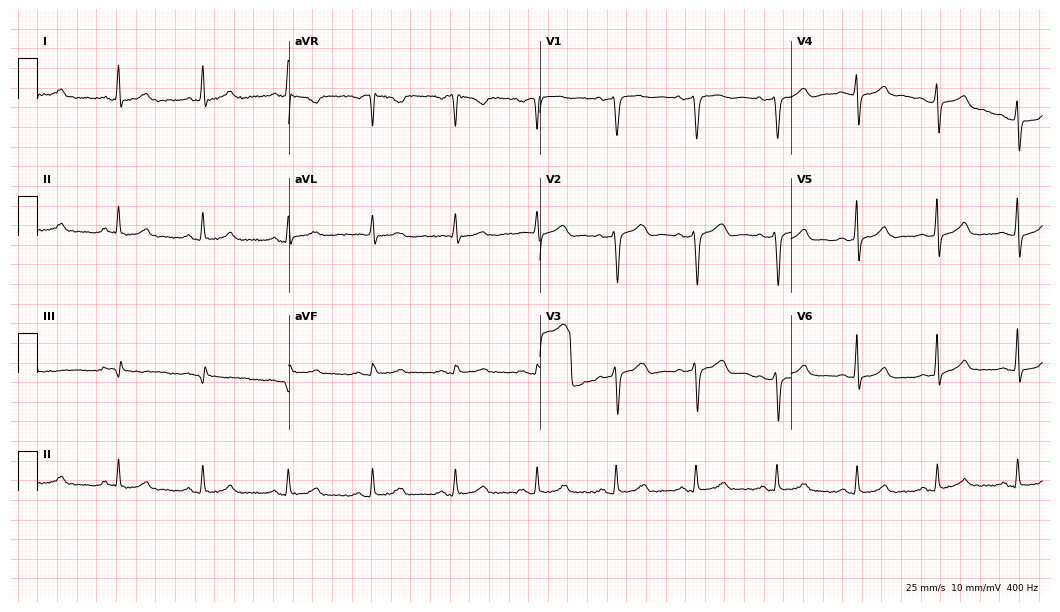
Standard 12-lead ECG recorded from a 52-year-old female patient (10.2-second recording at 400 Hz). Read as a normal ECG.